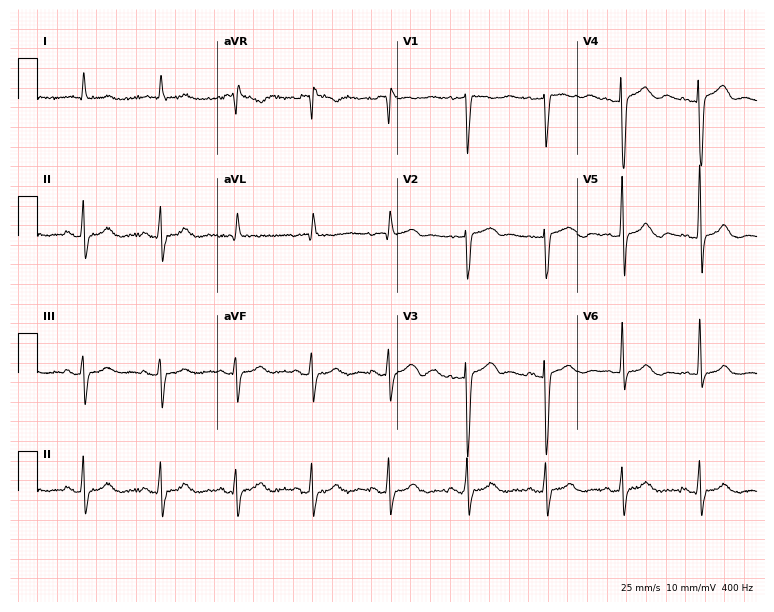
Resting 12-lead electrocardiogram. Patient: a 72-year-old female. None of these six findings is recorded: first-degree AV block, right bundle branch block, left bundle branch block, sinus bradycardia, atrial fibrillation, sinus tachycardia. Other findings, if any, are not listed.